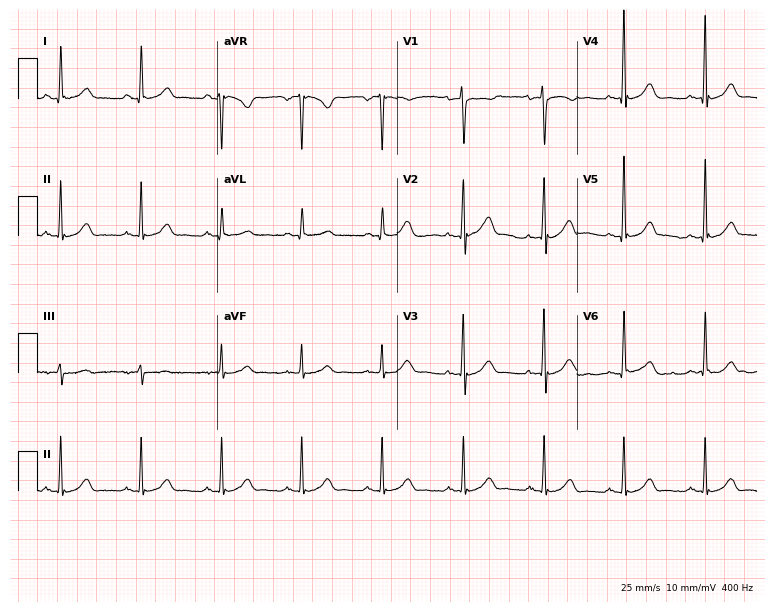
Electrocardiogram (7.3-second recording at 400 Hz), a 56-year-old female patient. Overall reading on record: normal ECG.